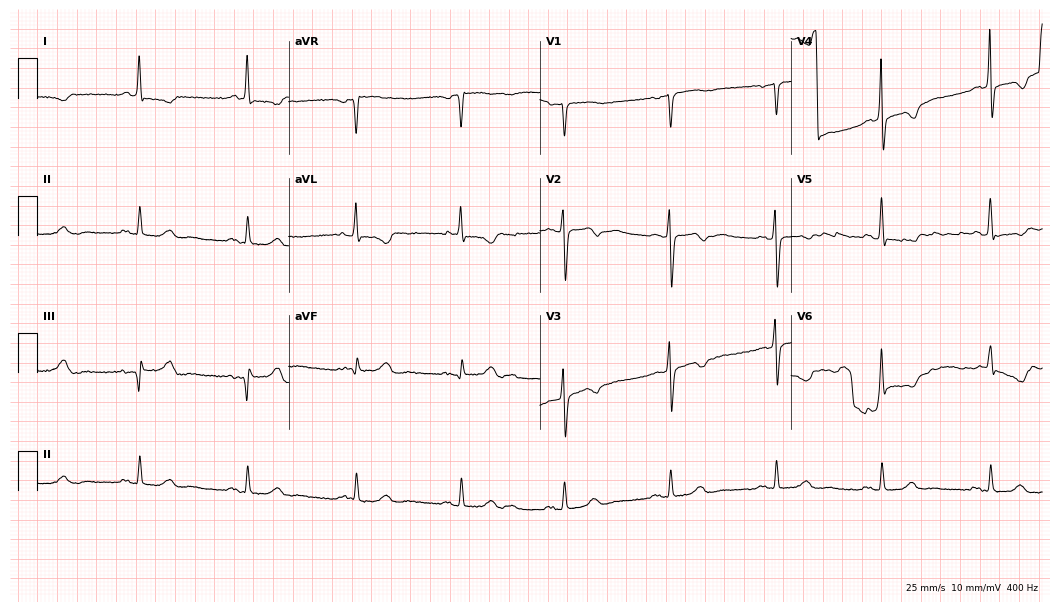
Standard 12-lead ECG recorded from a female patient, 67 years old. None of these six findings is recorded: first-degree AV block, right bundle branch block (RBBB), left bundle branch block (LBBB), sinus bradycardia, atrial fibrillation (AF), sinus tachycardia. Findings outside these six are not listed.